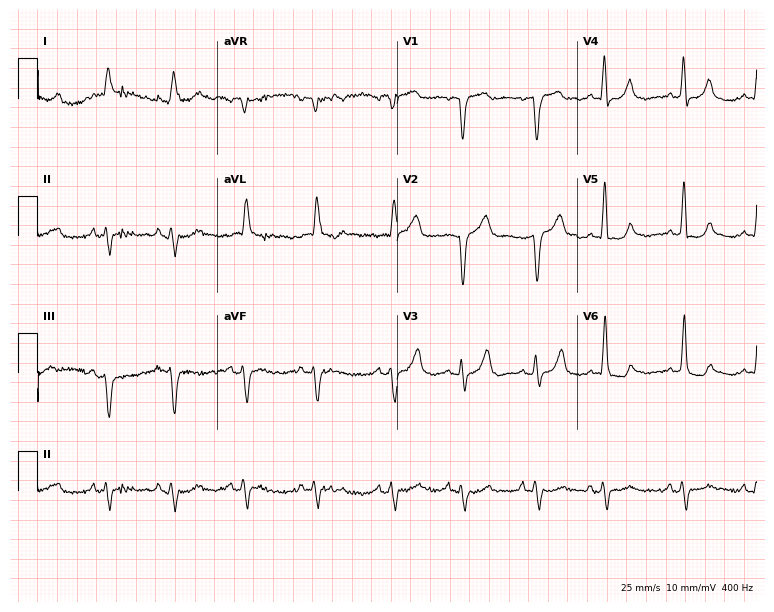
Standard 12-lead ECG recorded from an 86-year-old female patient. None of these six findings is recorded: first-degree AV block, right bundle branch block, left bundle branch block, sinus bradycardia, atrial fibrillation, sinus tachycardia. Findings outside these six are not listed.